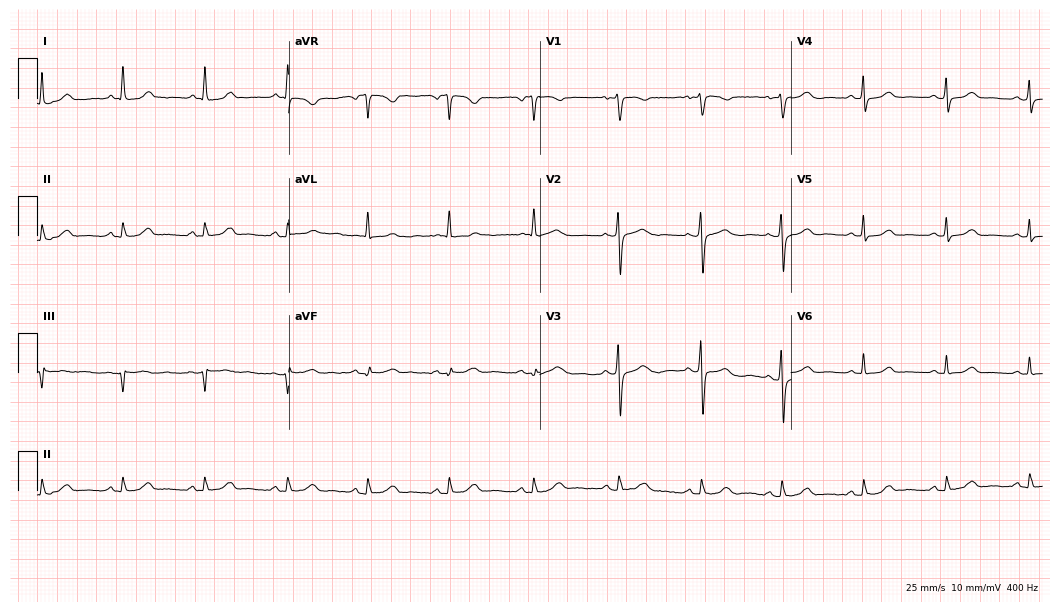
12-lead ECG from a female patient, 53 years old (10.2-second recording at 400 Hz). Recorded interpretation: within normal limits.